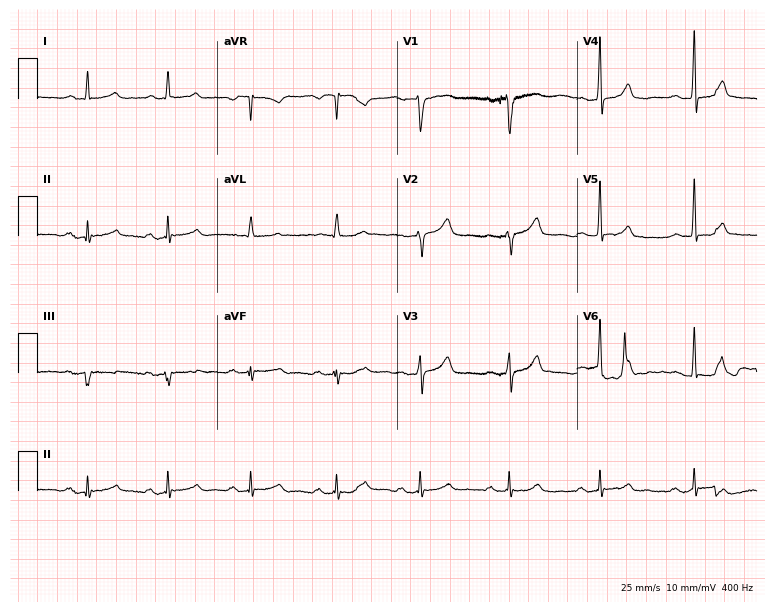
Standard 12-lead ECG recorded from a female, 65 years old. Read as a normal ECG.